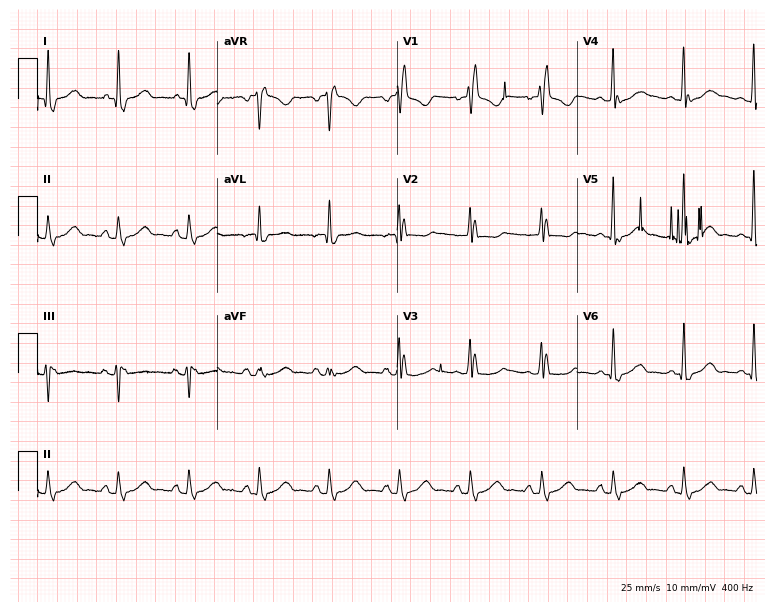
ECG (7.3-second recording at 400 Hz) — a female, 80 years old. Findings include right bundle branch block (RBBB).